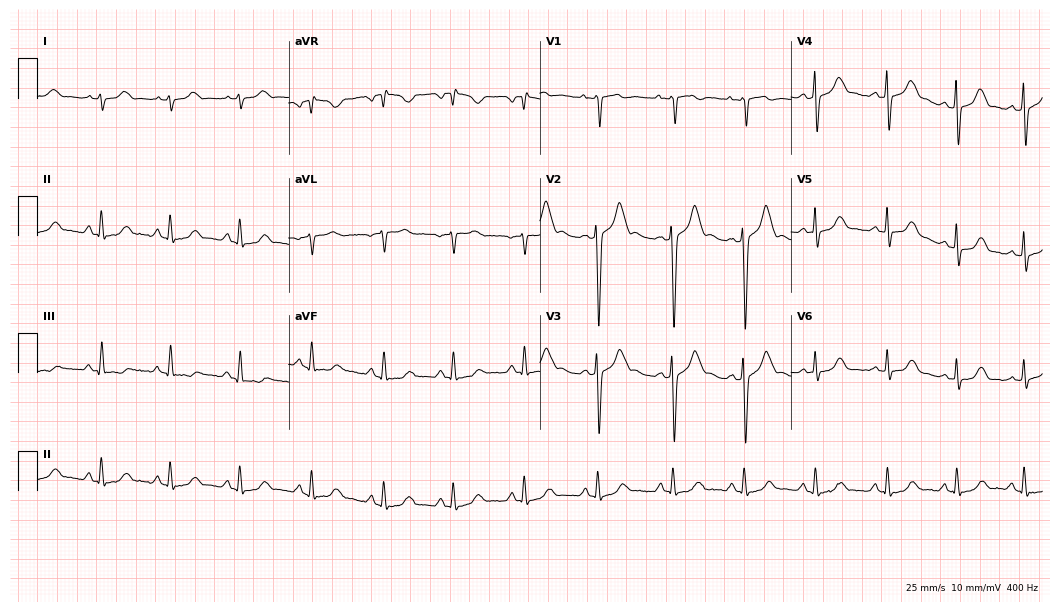
ECG — a woman, 20 years old. Screened for six findings — first-degree AV block, right bundle branch block, left bundle branch block, sinus bradycardia, atrial fibrillation, sinus tachycardia — none is recorded.